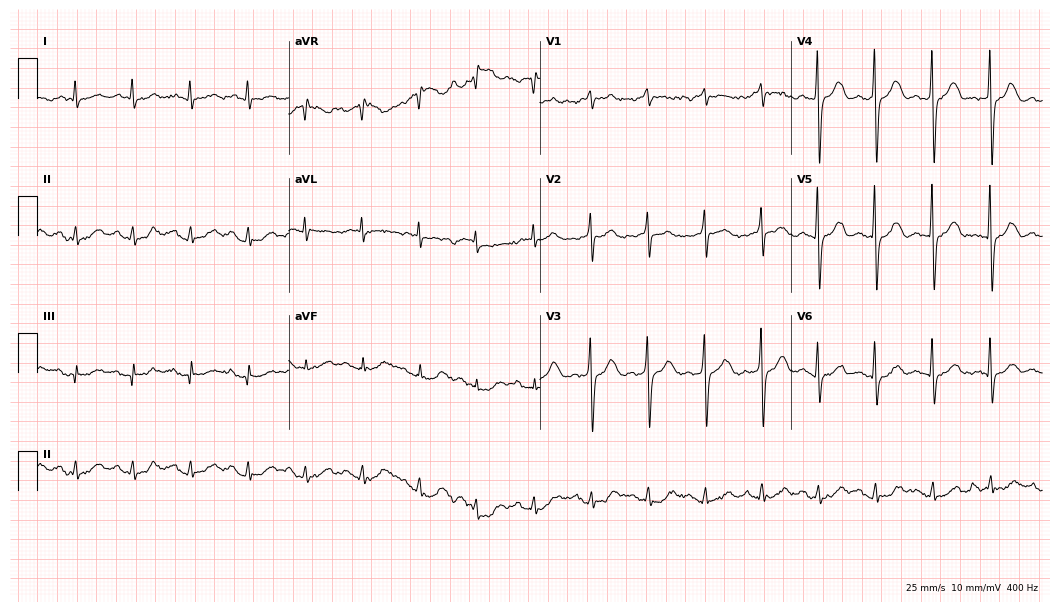
Standard 12-lead ECG recorded from an 80-year-old female patient. Read as a normal ECG.